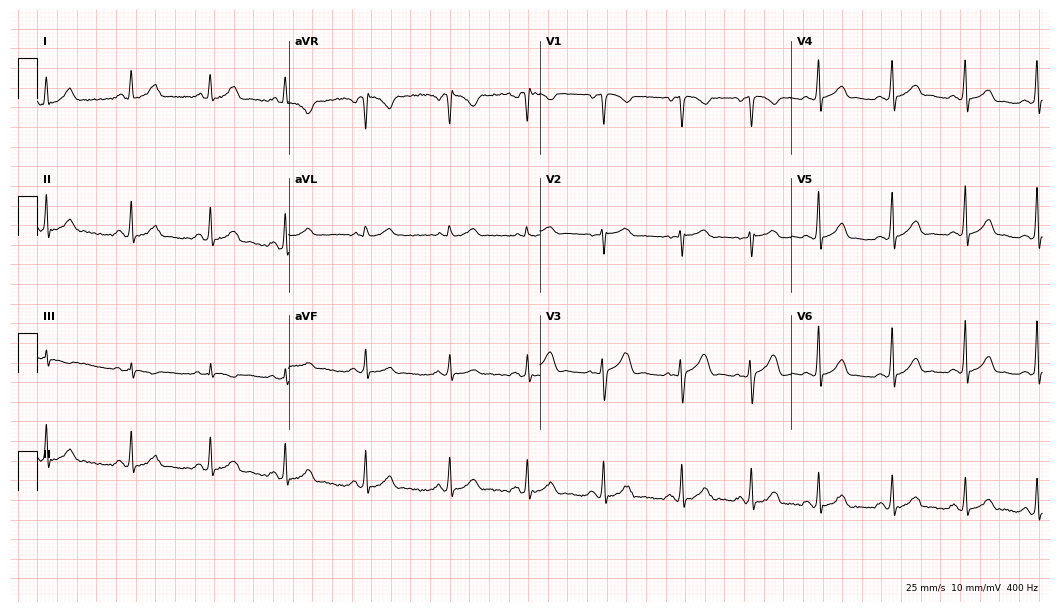
12-lead ECG (10.2-second recording at 400 Hz) from a woman, 37 years old. Screened for six findings — first-degree AV block, right bundle branch block, left bundle branch block, sinus bradycardia, atrial fibrillation, sinus tachycardia — none is recorded.